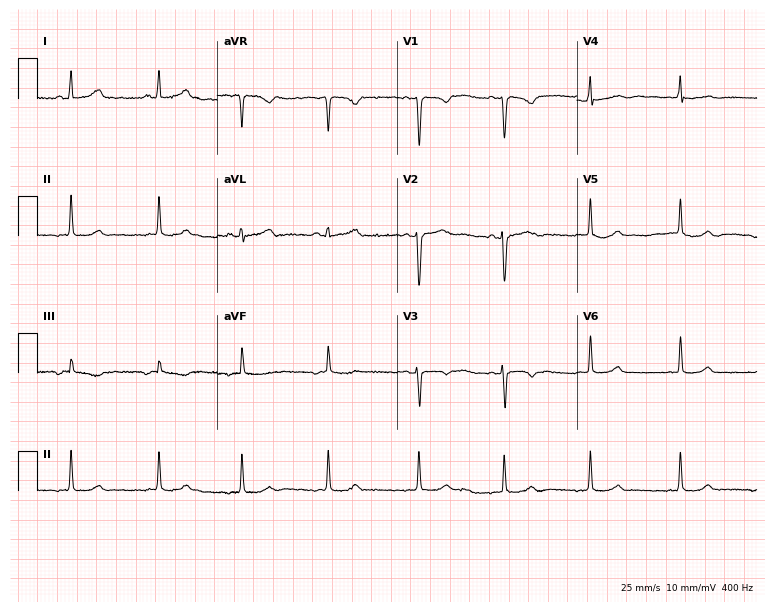
Electrocardiogram (7.3-second recording at 400 Hz), a 17-year-old female. Overall reading on record: normal ECG.